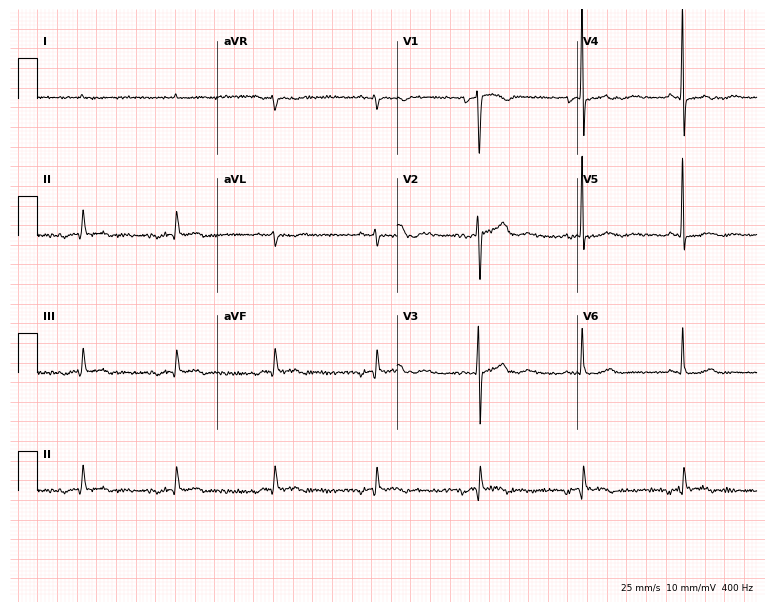
12-lead ECG (7.3-second recording at 400 Hz) from a woman, 64 years old. Screened for six findings — first-degree AV block, right bundle branch block (RBBB), left bundle branch block (LBBB), sinus bradycardia, atrial fibrillation (AF), sinus tachycardia — none is recorded.